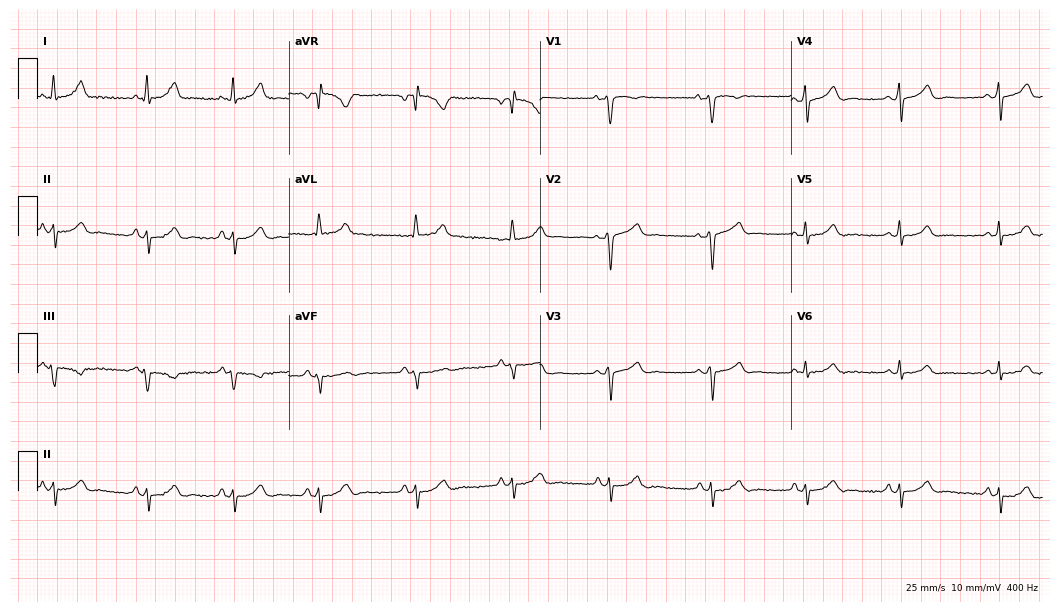
Resting 12-lead electrocardiogram. Patient: a 34-year-old female. None of these six findings is recorded: first-degree AV block, right bundle branch block (RBBB), left bundle branch block (LBBB), sinus bradycardia, atrial fibrillation (AF), sinus tachycardia.